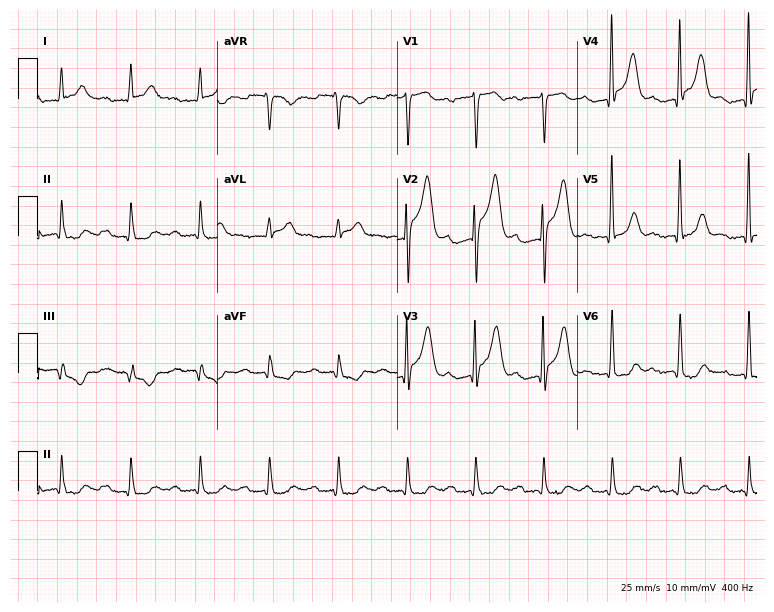
ECG (7.3-second recording at 400 Hz) — a man, 84 years old. Findings include first-degree AV block.